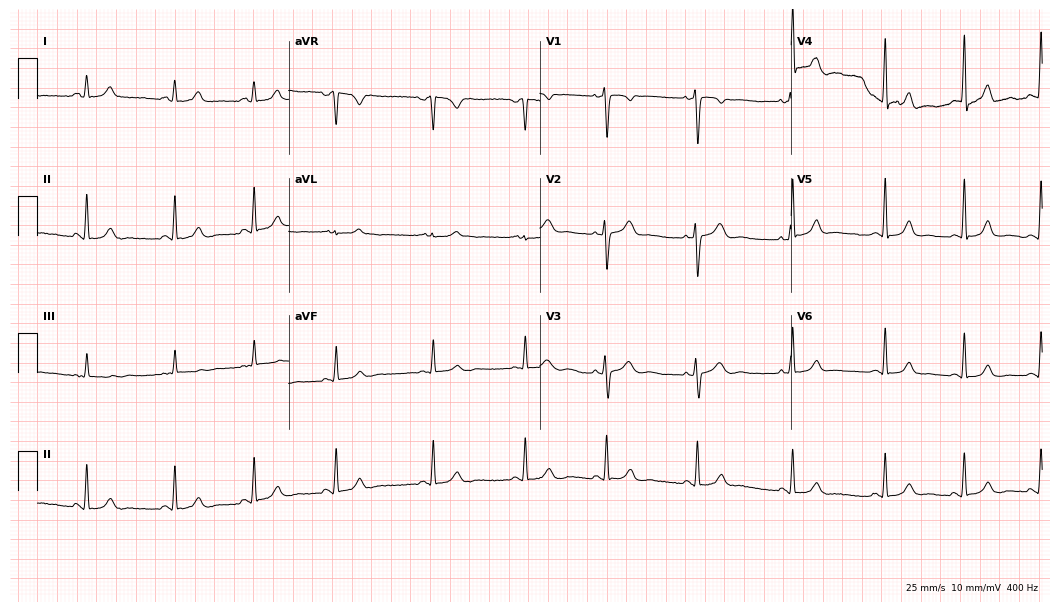
Standard 12-lead ECG recorded from a 23-year-old woman (10.2-second recording at 400 Hz). Read as a normal ECG.